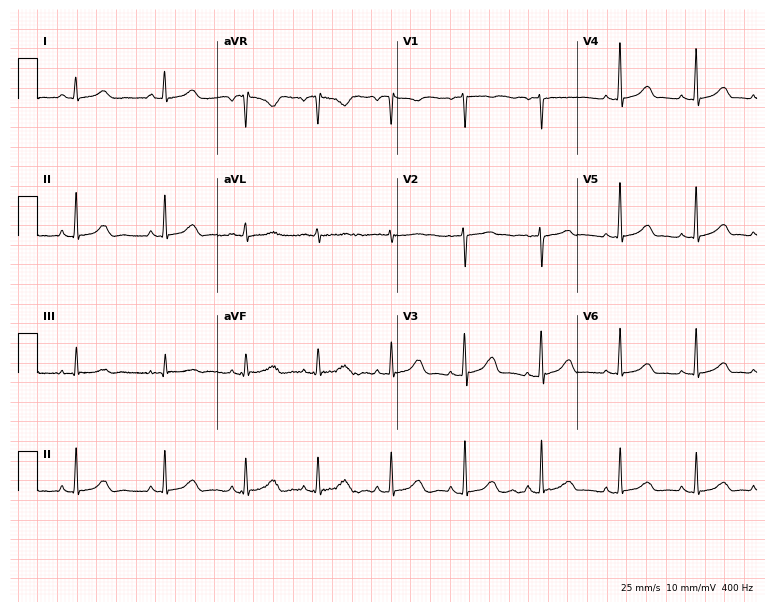
Electrocardiogram, a woman, 31 years old. Of the six screened findings (first-degree AV block, right bundle branch block (RBBB), left bundle branch block (LBBB), sinus bradycardia, atrial fibrillation (AF), sinus tachycardia), none is recorded. Only these six findings were labelled.